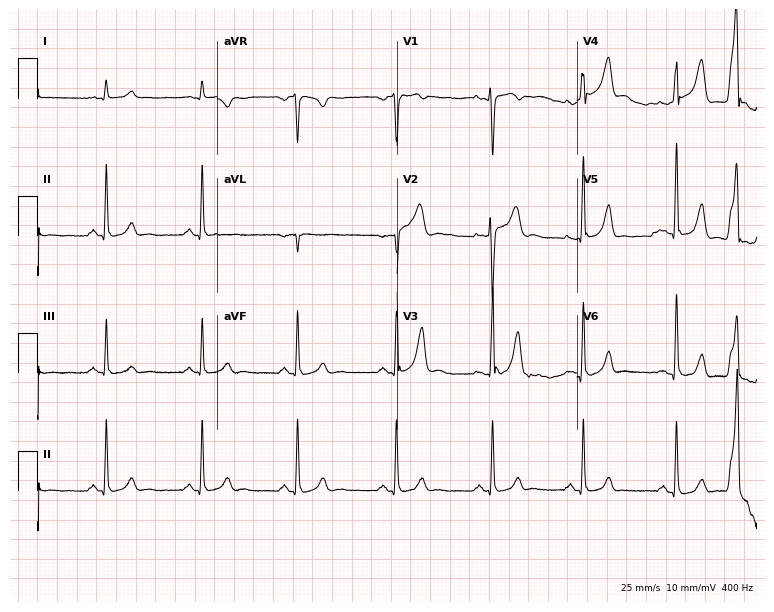
Resting 12-lead electrocardiogram. Patient: a man, 29 years old. None of these six findings is recorded: first-degree AV block, right bundle branch block, left bundle branch block, sinus bradycardia, atrial fibrillation, sinus tachycardia. Other findings, if any, are not listed.